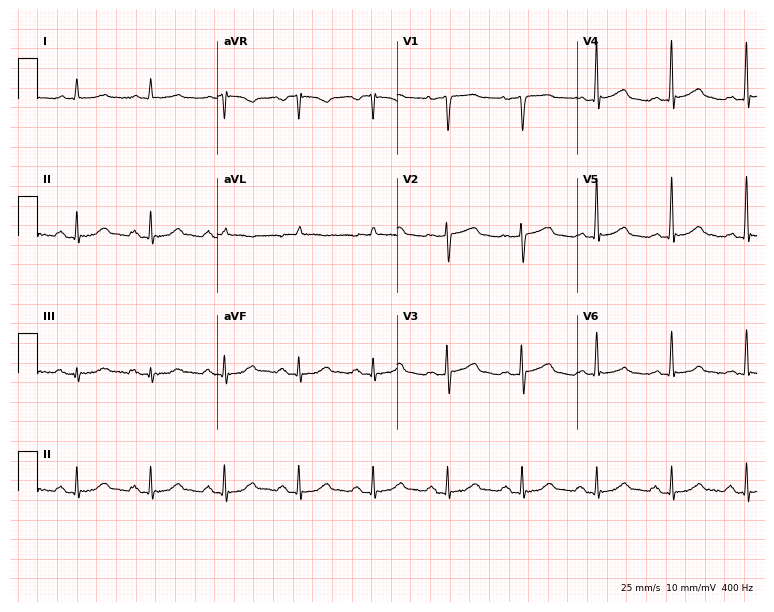
12-lead ECG from a male, 71 years old (7.3-second recording at 400 Hz). No first-degree AV block, right bundle branch block, left bundle branch block, sinus bradycardia, atrial fibrillation or sinus tachycardia recorded for this tracing. Only these six findings were labelled.